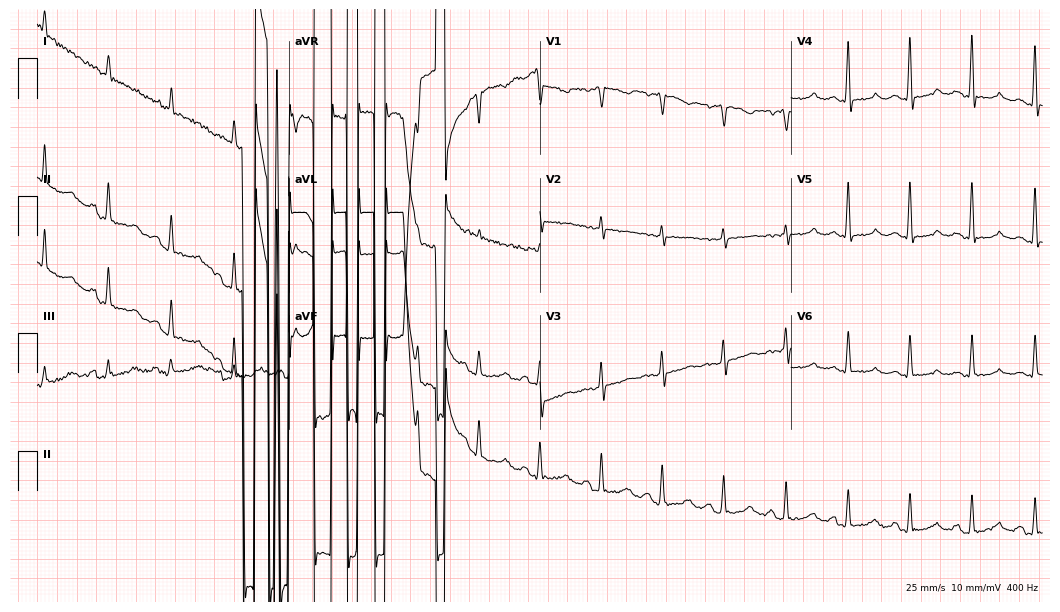
Resting 12-lead electrocardiogram (10.2-second recording at 400 Hz). Patient: a 51-year-old woman. None of these six findings is recorded: first-degree AV block, right bundle branch block, left bundle branch block, sinus bradycardia, atrial fibrillation, sinus tachycardia.